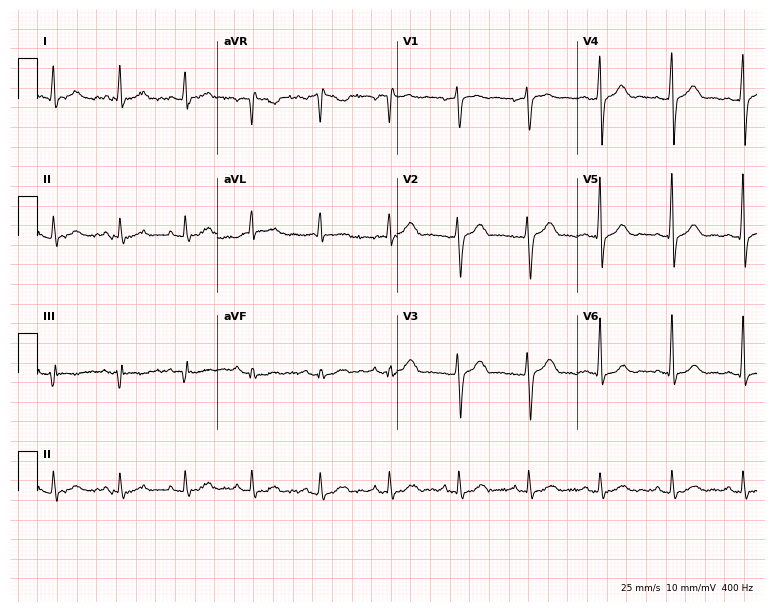
12-lead ECG from a 45-year-old male. Labelled as a normal ECG.